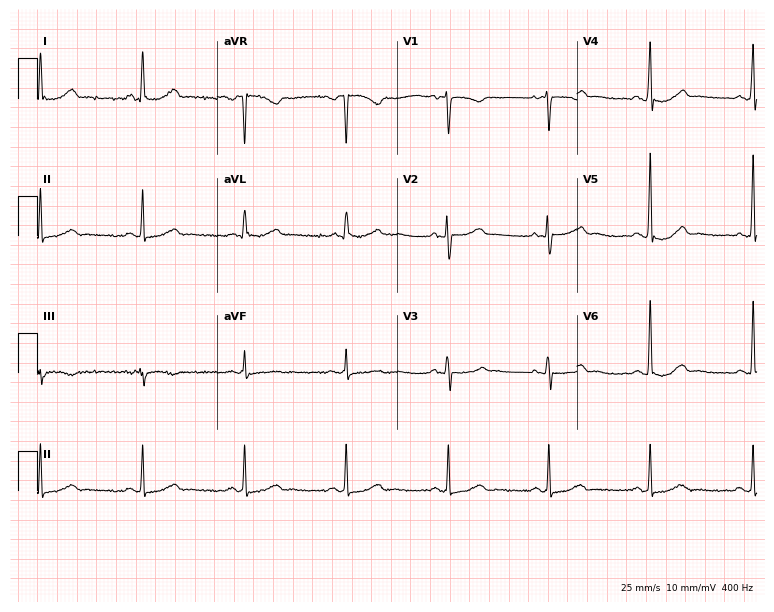
Resting 12-lead electrocardiogram (7.3-second recording at 400 Hz). Patient: a woman, 58 years old. Read as a normal ECG.